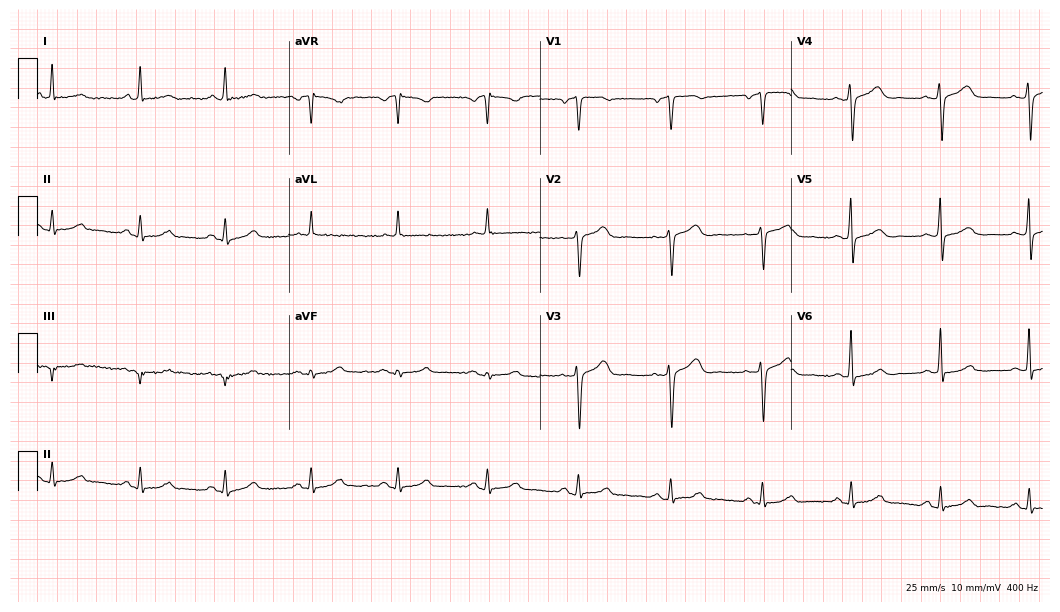
ECG — a female patient, 57 years old. Labelled as a normal ECG.